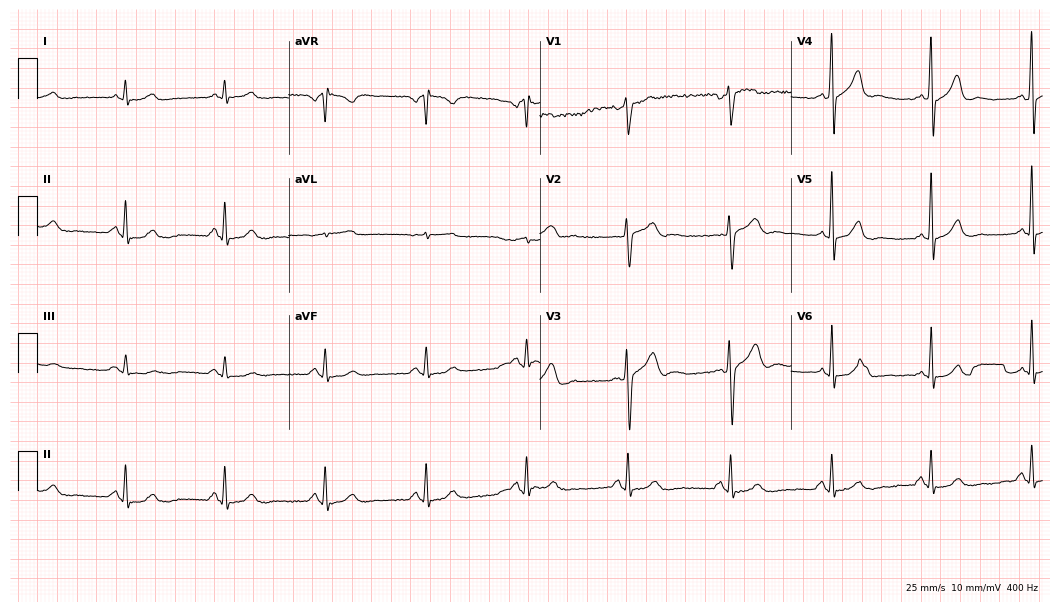
12-lead ECG from a male, 60 years old. Labelled as a normal ECG.